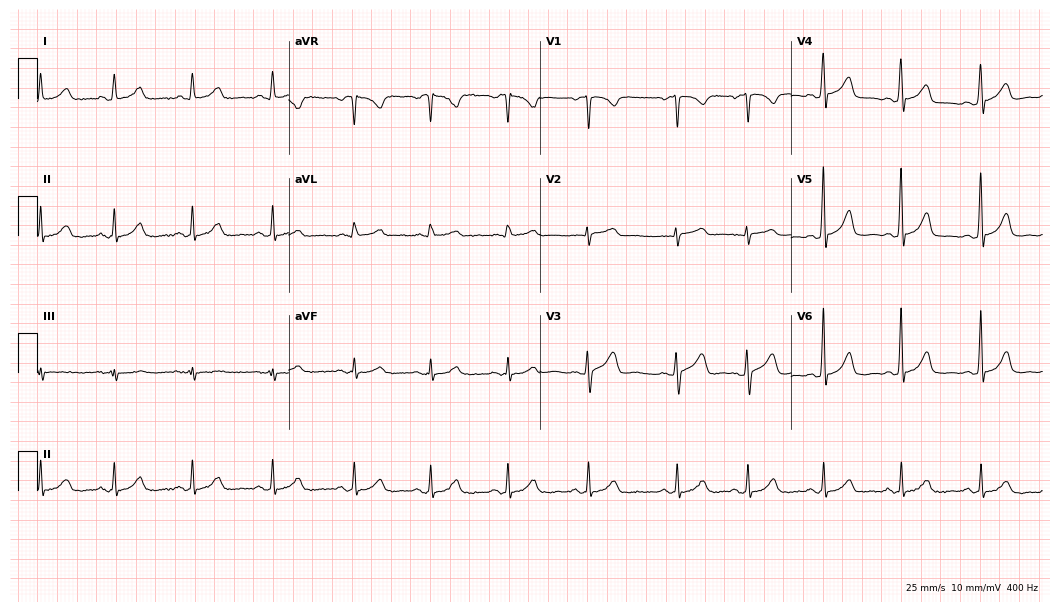
Electrocardiogram (10.2-second recording at 400 Hz), a female patient, 50 years old. Overall reading on record: normal ECG.